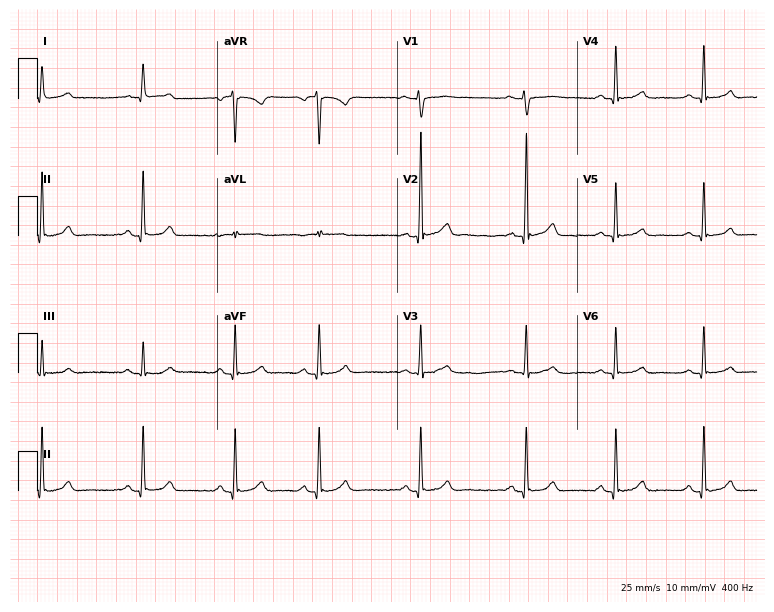
Electrocardiogram, a woman, 38 years old. Overall reading on record: normal ECG.